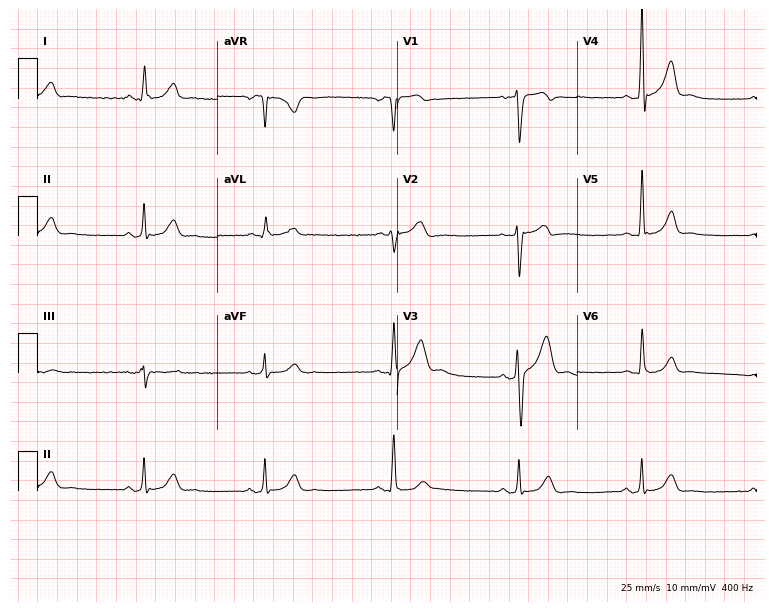
ECG (7.3-second recording at 400 Hz) — a male patient, 37 years old. Findings include sinus bradycardia (a sinus rate of 50 beats per minute or less).